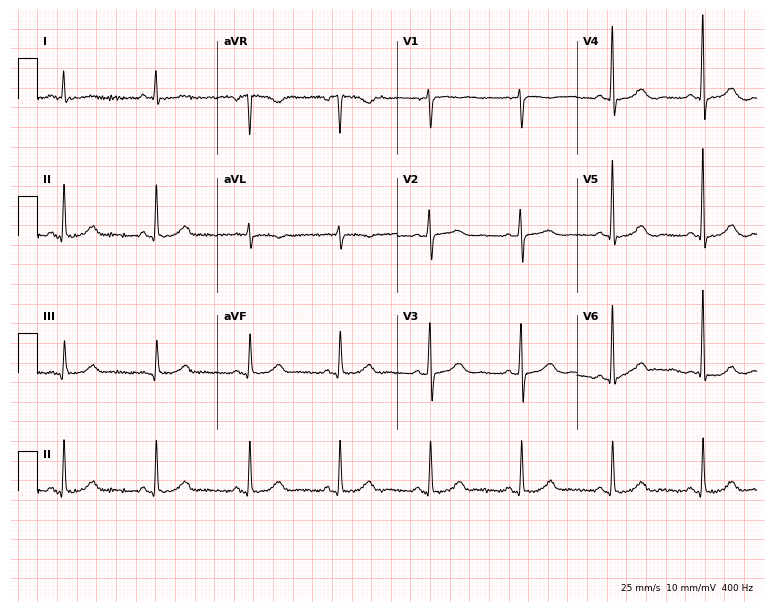
ECG (7.3-second recording at 400 Hz) — a 62-year-old woman. Labelled as a normal ECG.